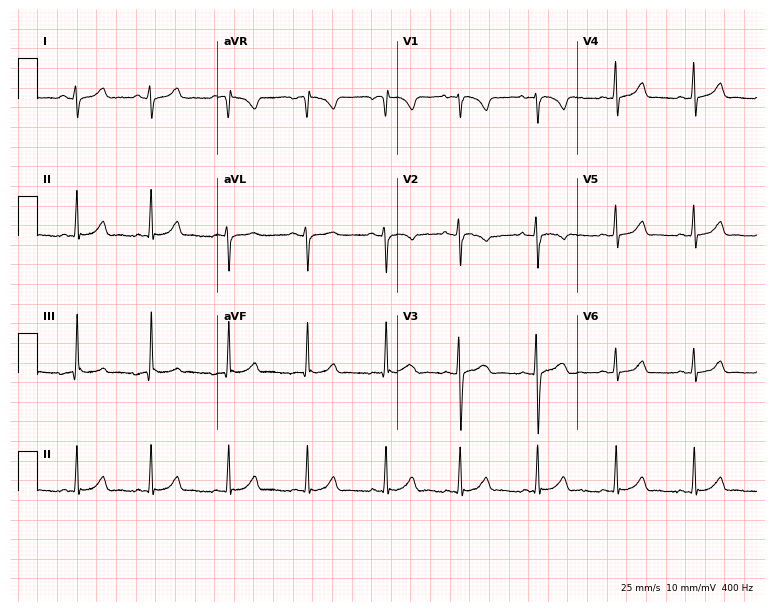
ECG — a 21-year-old female. Screened for six findings — first-degree AV block, right bundle branch block (RBBB), left bundle branch block (LBBB), sinus bradycardia, atrial fibrillation (AF), sinus tachycardia — none is recorded.